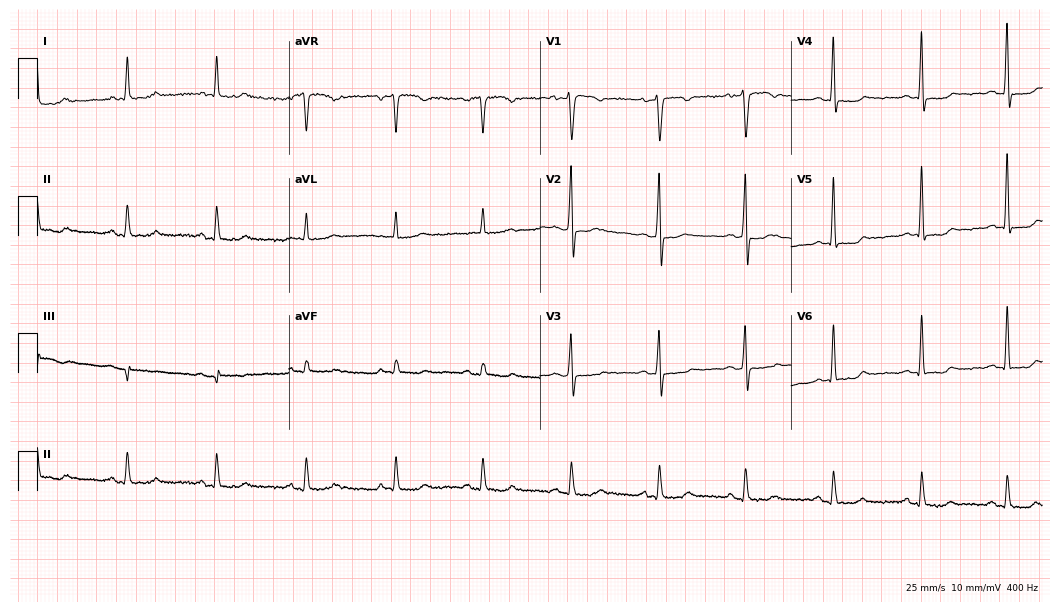
12-lead ECG from a 59-year-old female patient (10.2-second recording at 400 Hz). No first-degree AV block, right bundle branch block, left bundle branch block, sinus bradycardia, atrial fibrillation or sinus tachycardia recorded for this tracing.